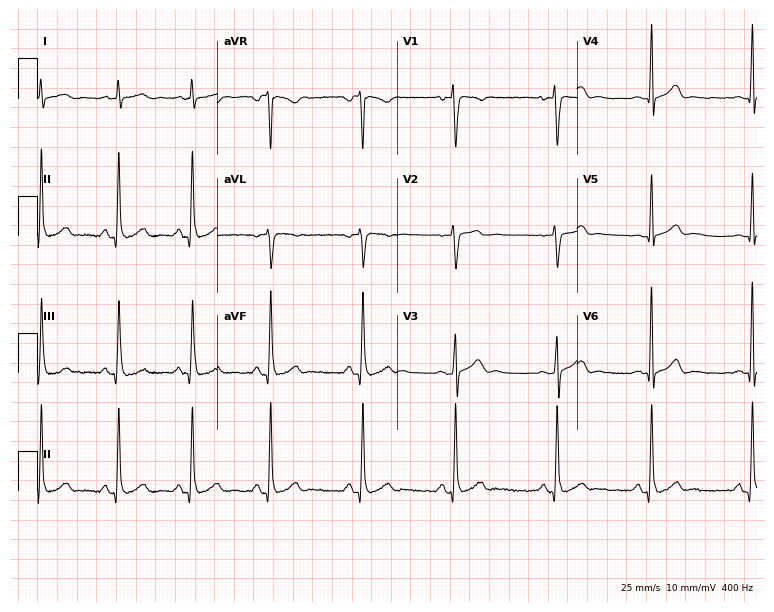
Resting 12-lead electrocardiogram. Patient: a male, 18 years old. None of these six findings is recorded: first-degree AV block, right bundle branch block, left bundle branch block, sinus bradycardia, atrial fibrillation, sinus tachycardia.